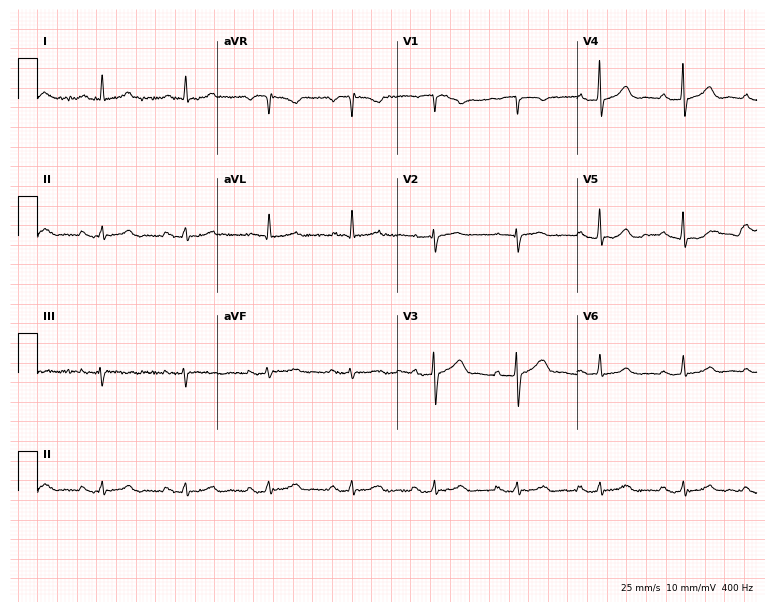
12-lead ECG (7.3-second recording at 400 Hz) from a 73-year-old male. Screened for six findings — first-degree AV block, right bundle branch block, left bundle branch block, sinus bradycardia, atrial fibrillation, sinus tachycardia — none is recorded.